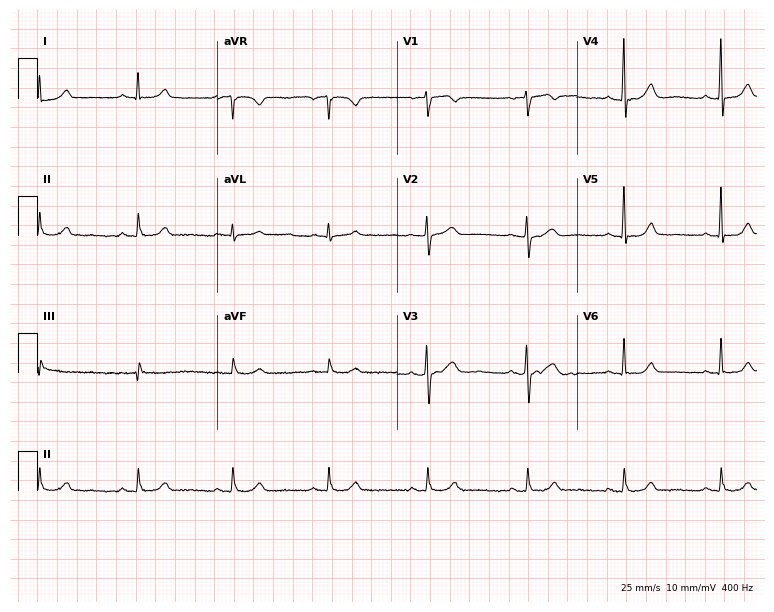
12-lead ECG (7.3-second recording at 400 Hz) from a female patient, 67 years old. Labelled as a normal ECG.